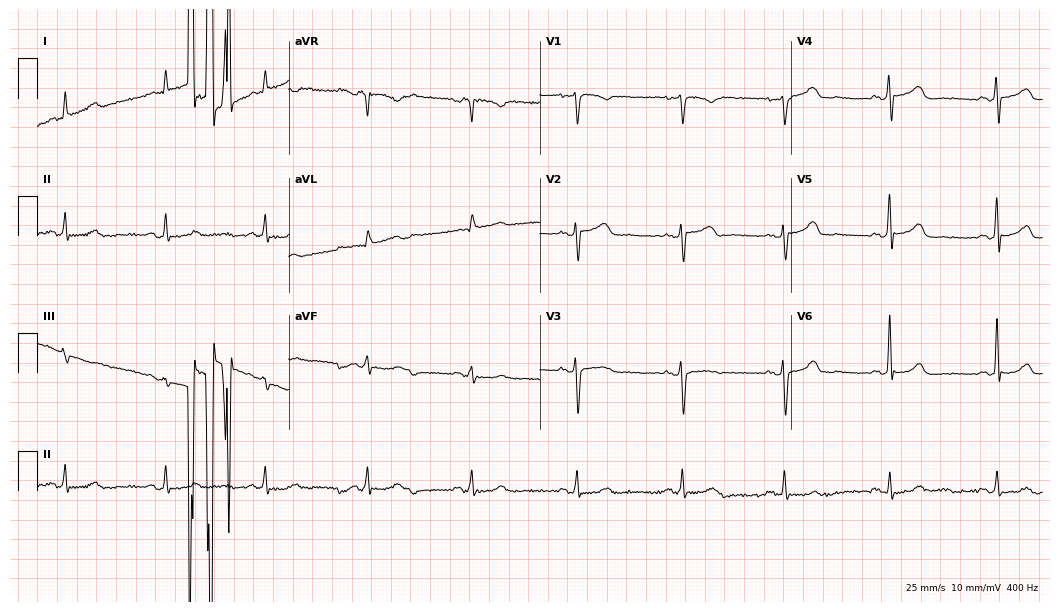
Resting 12-lead electrocardiogram (10.2-second recording at 400 Hz). Patient: a 56-year-old woman. Read as a normal ECG.